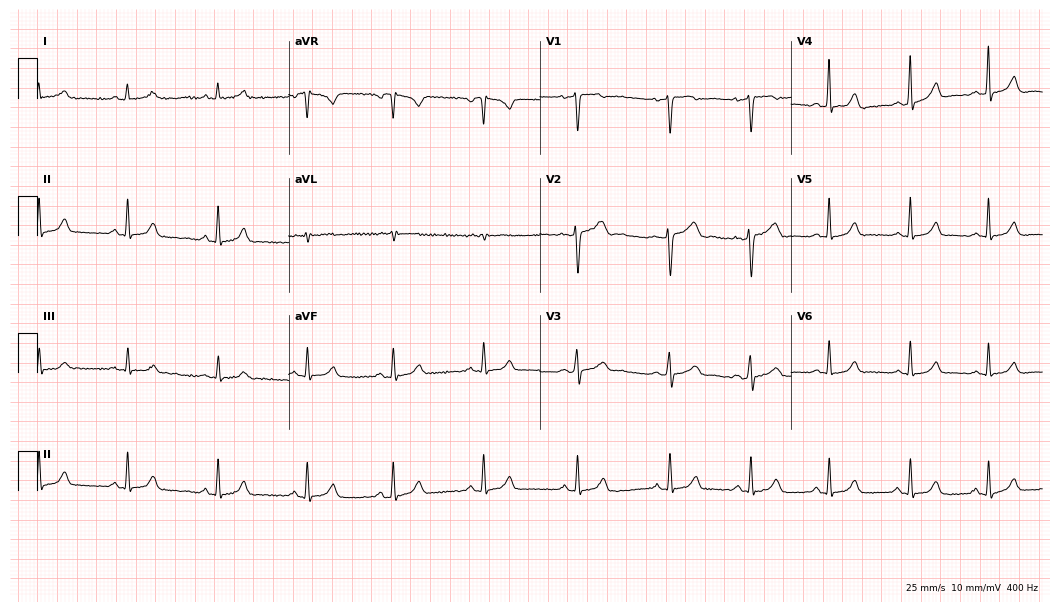
Standard 12-lead ECG recorded from a 20-year-old female patient (10.2-second recording at 400 Hz). Read as a normal ECG.